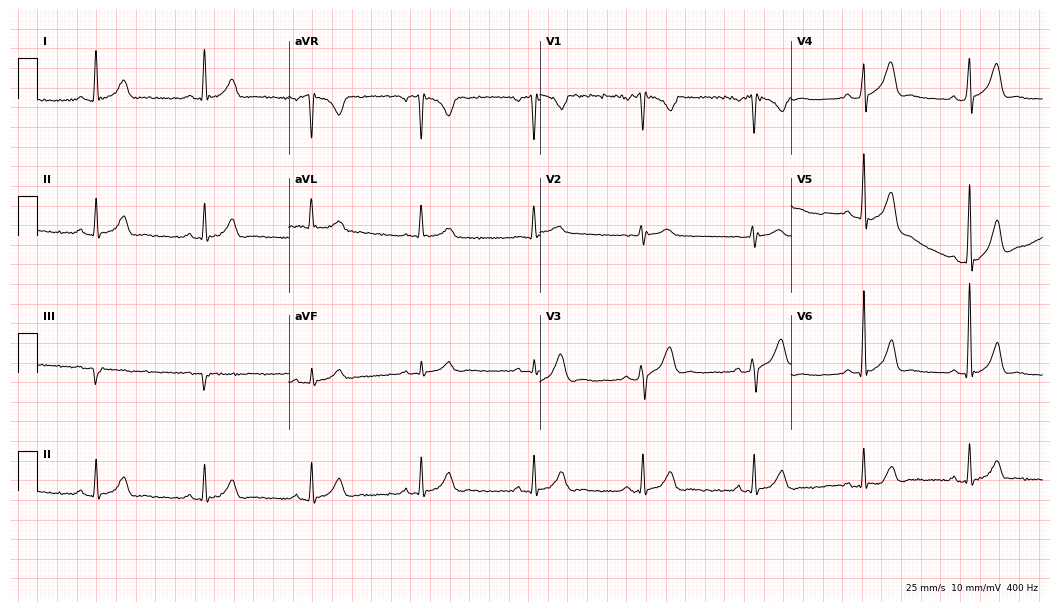
Standard 12-lead ECG recorded from a 53-year-old man. Read as a normal ECG.